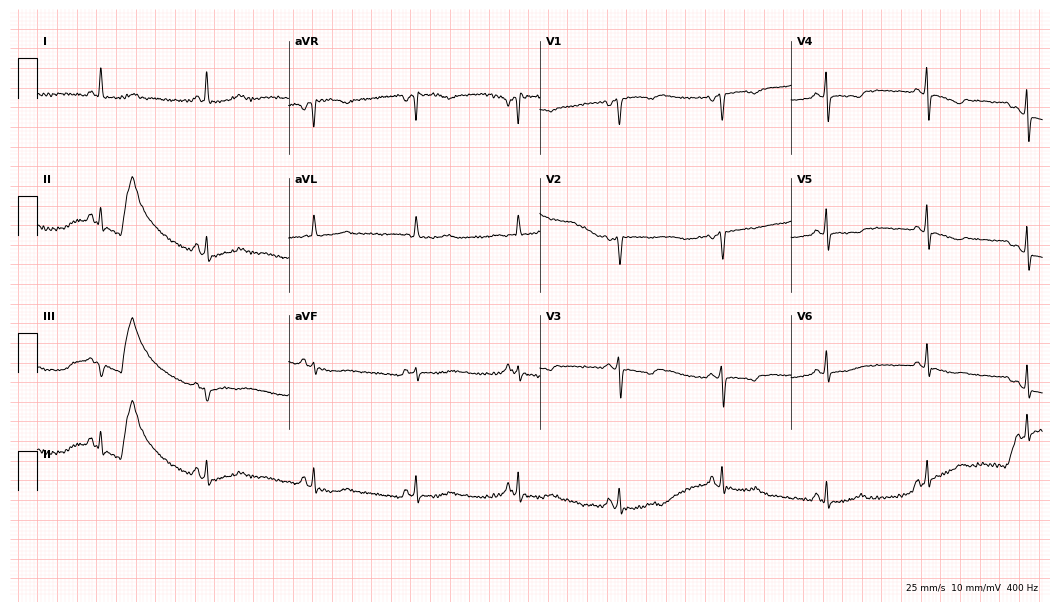
Resting 12-lead electrocardiogram. Patient: a woman, 62 years old. None of these six findings is recorded: first-degree AV block, right bundle branch block, left bundle branch block, sinus bradycardia, atrial fibrillation, sinus tachycardia. Only these six findings were labelled.